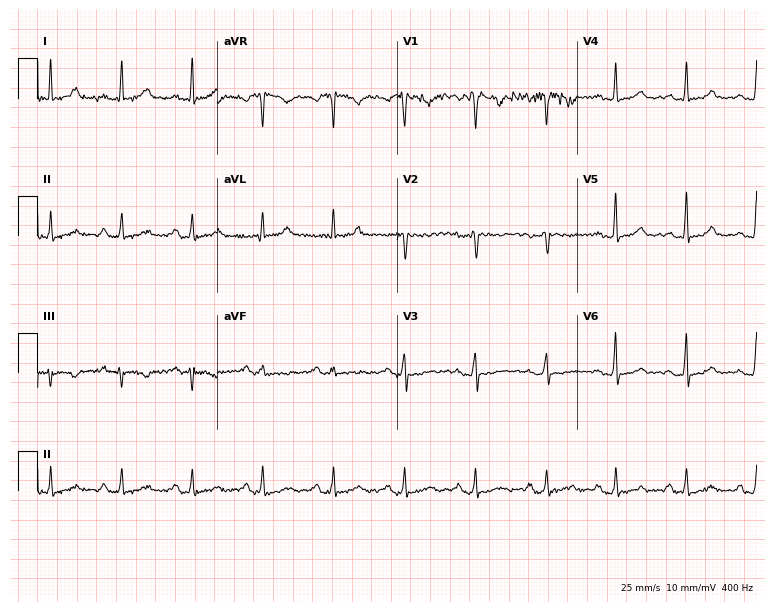
Standard 12-lead ECG recorded from a female, 39 years old (7.3-second recording at 400 Hz). Read as a normal ECG.